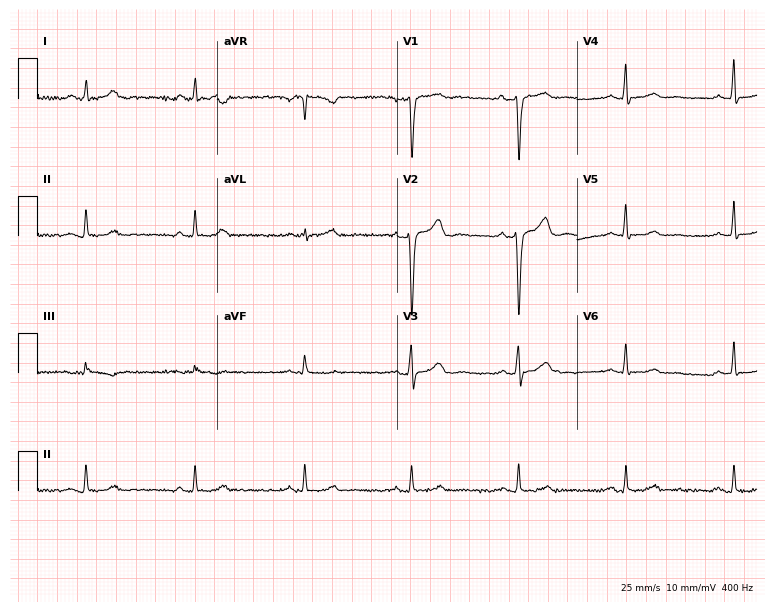
12-lead ECG from a 47-year-old man (7.3-second recording at 400 Hz). No first-degree AV block, right bundle branch block, left bundle branch block, sinus bradycardia, atrial fibrillation or sinus tachycardia recorded for this tracing. Only these six findings were labelled.